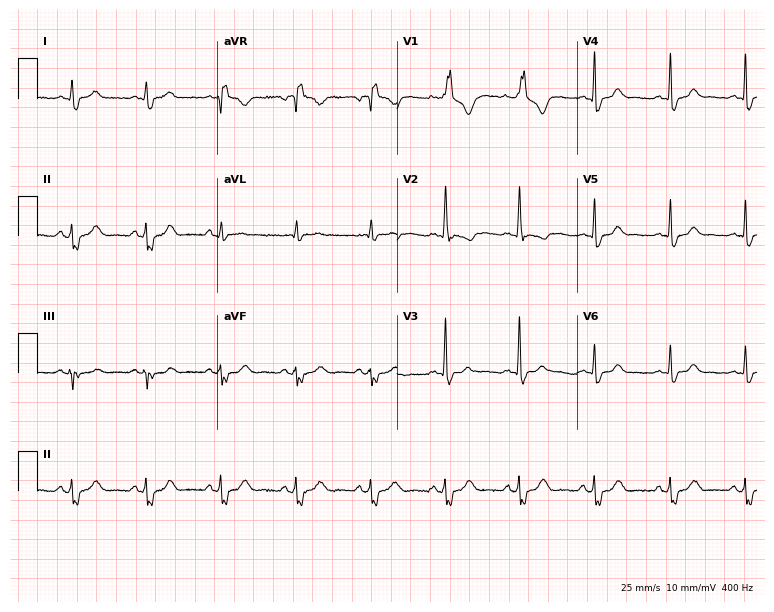
12-lead ECG (7.3-second recording at 400 Hz) from a female, 35 years old. Findings include right bundle branch block (RBBB).